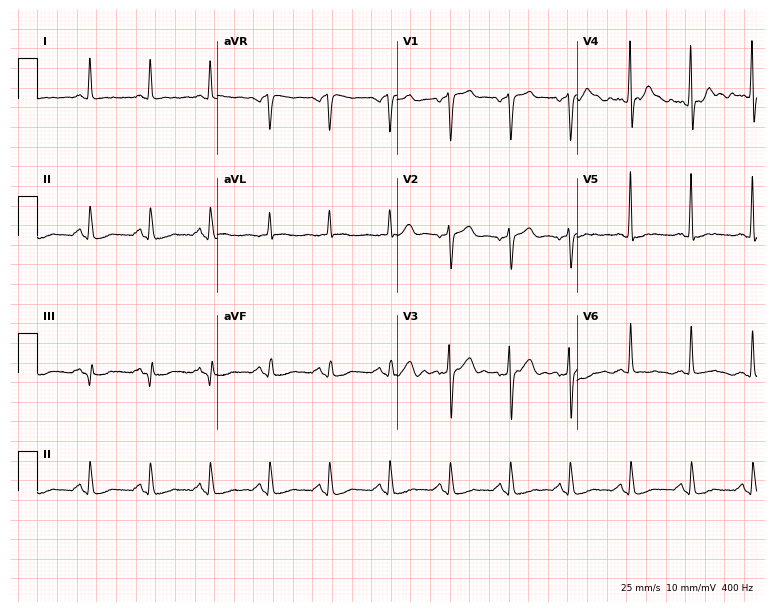
Electrocardiogram (7.3-second recording at 400 Hz), a 62-year-old male patient. Overall reading on record: normal ECG.